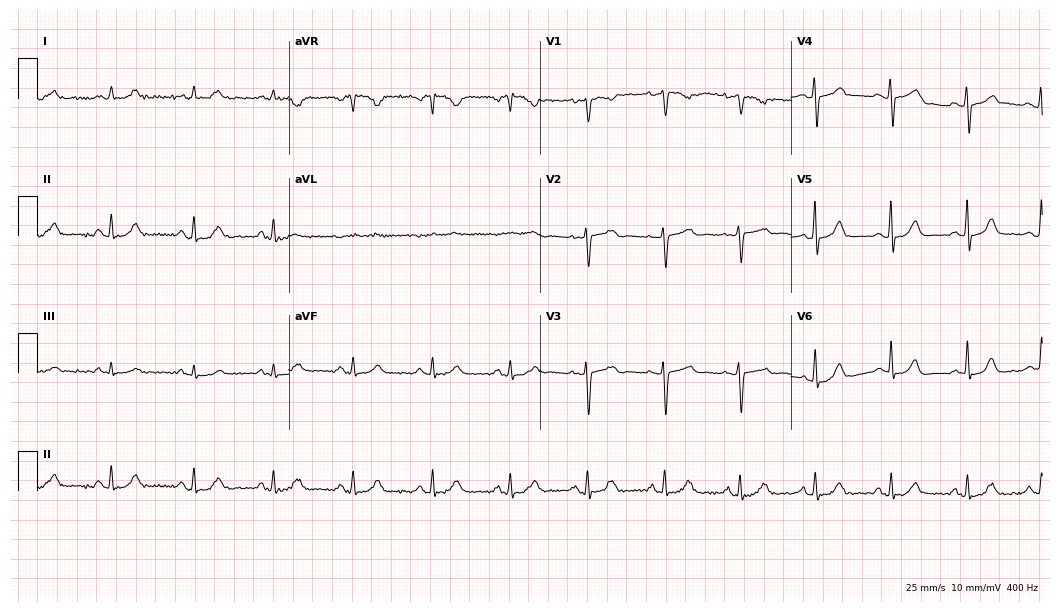
Standard 12-lead ECG recorded from a 39-year-old woman. Read as a normal ECG.